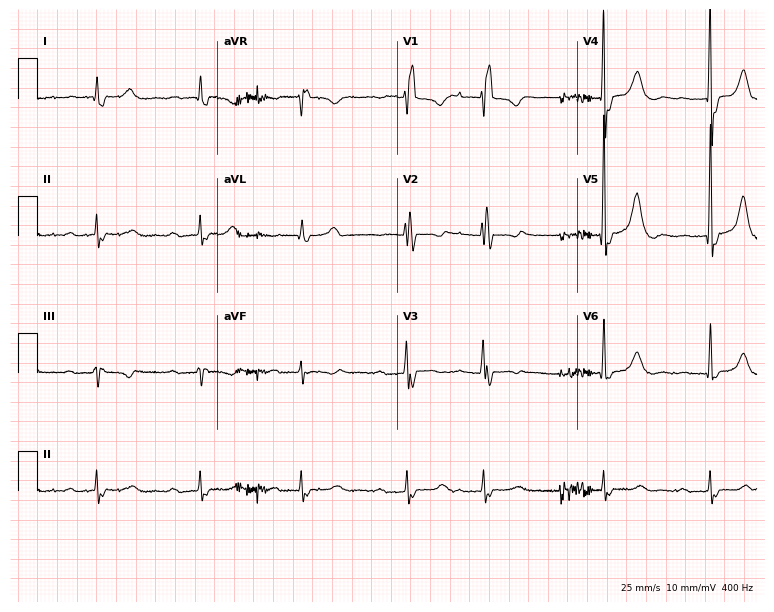
12-lead ECG from a male, 77 years old. Findings include first-degree AV block, right bundle branch block.